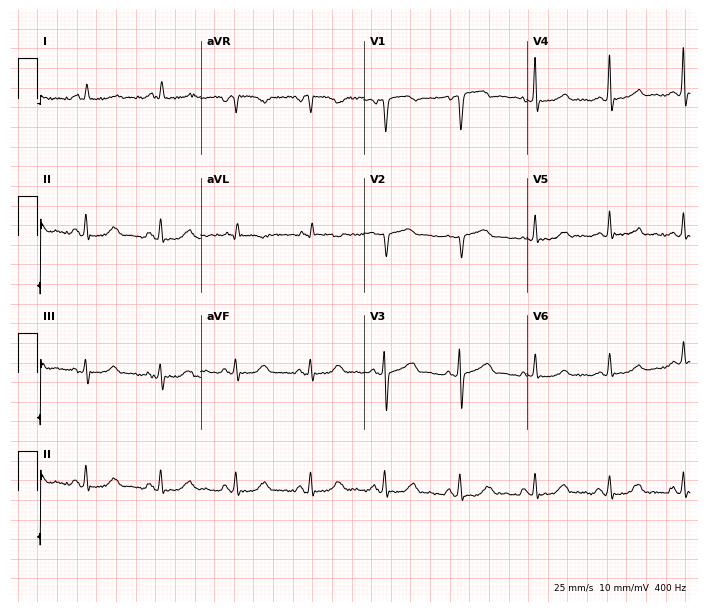
ECG — a 67-year-old female patient. Screened for six findings — first-degree AV block, right bundle branch block, left bundle branch block, sinus bradycardia, atrial fibrillation, sinus tachycardia — none is recorded.